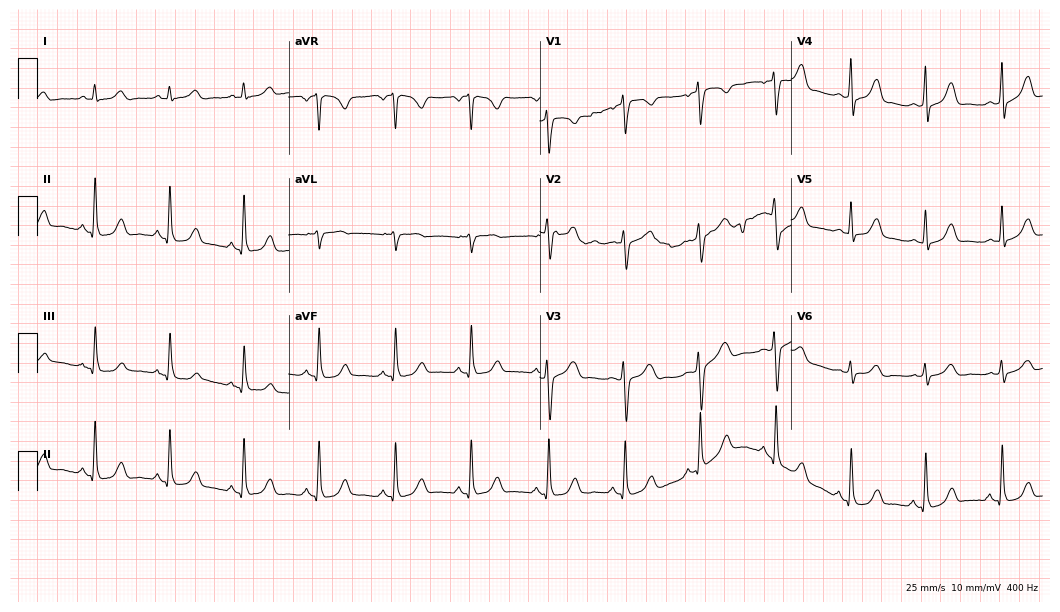
ECG — a 43-year-old female patient. Labelled as a normal ECG.